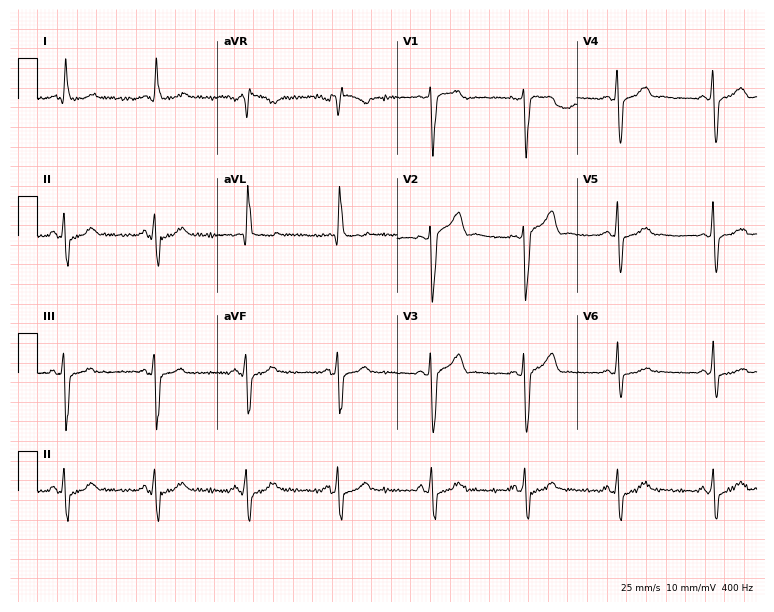
12-lead ECG from a female patient, 68 years old. No first-degree AV block, right bundle branch block (RBBB), left bundle branch block (LBBB), sinus bradycardia, atrial fibrillation (AF) or sinus tachycardia recorded for this tracing. Only these six findings were labelled.